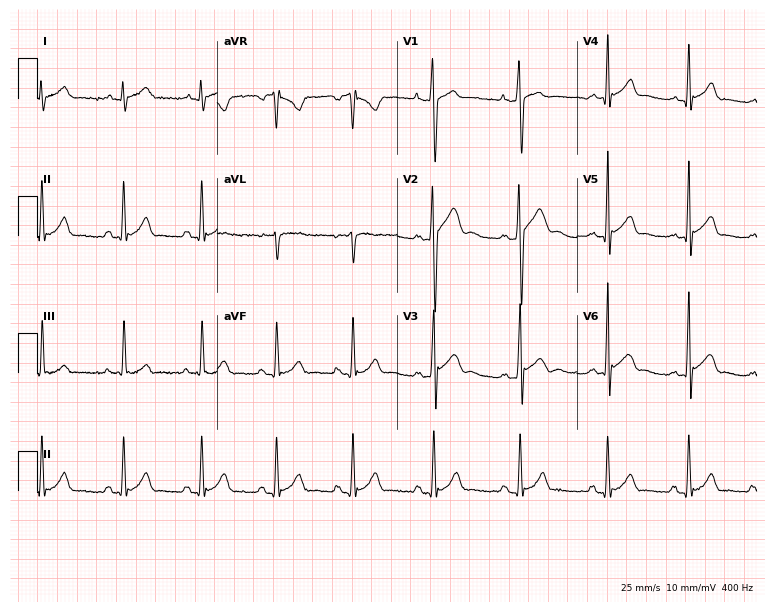
12-lead ECG from a male, 19 years old. No first-degree AV block, right bundle branch block, left bundle branch block, sinus bradycardia, atrial fibrillation or sinus tachycardia recorded for this tracing. Other findings, if any, are not listed.